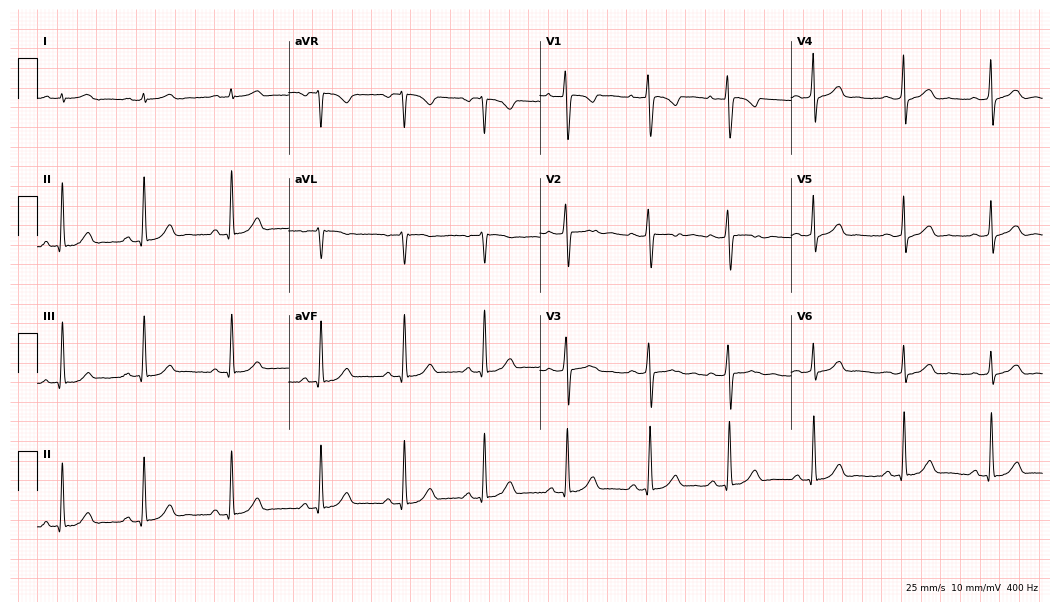
Resting 12-lead electrocardiogram. Patient: a 21-year-old female. Read as a normal ECG.